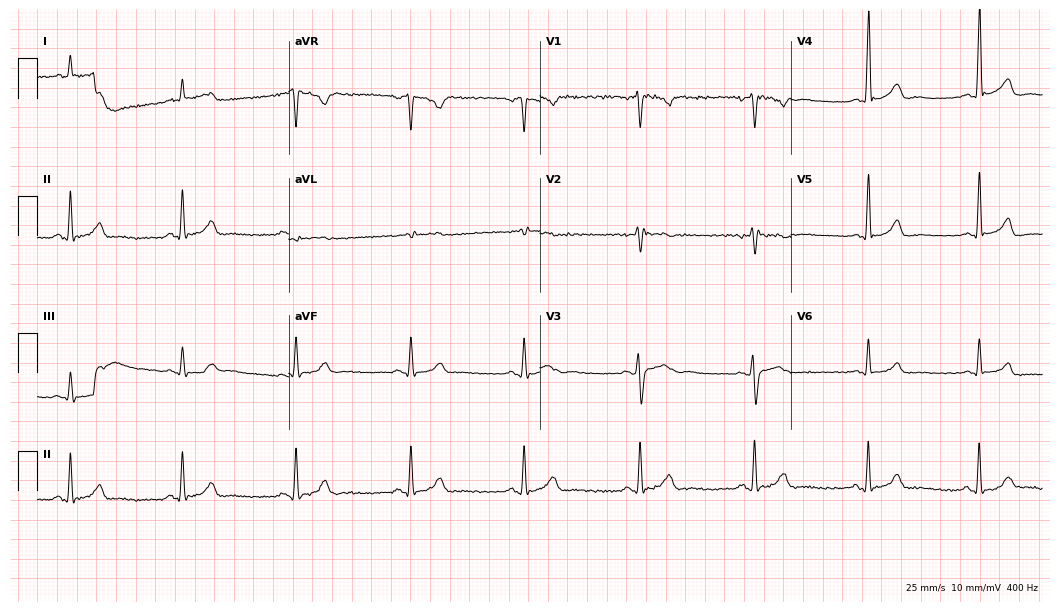
ECG (10.2-second recording at 400 Hz) — a male, 39 years old. Screened for six findings — first-degree AV block, right bundle branch block, left bundle branch block, sinus bradycardia, atrial fibrillation, sinus tachycardia — none is recorded.